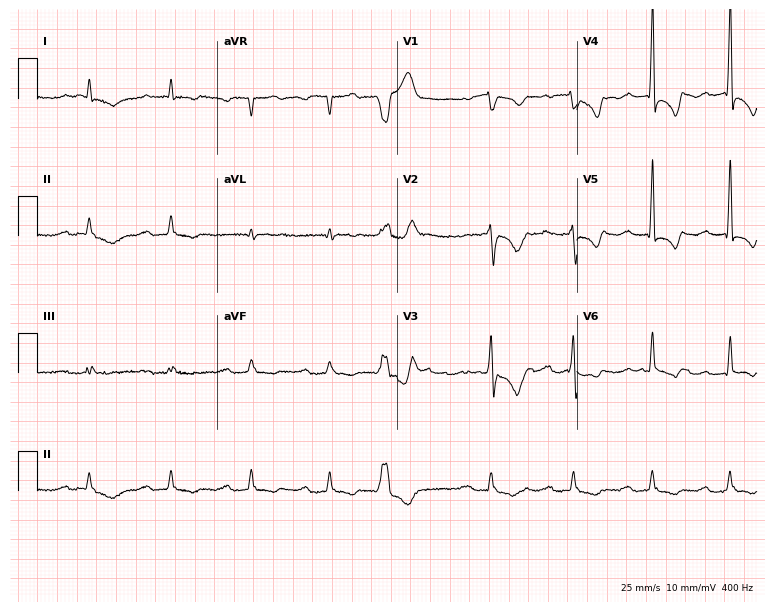
Standard 12-lead ECG recorded from a 75-year-old male (7.3-second recording at 400 Hz). The tracing shows first-degree AV block.